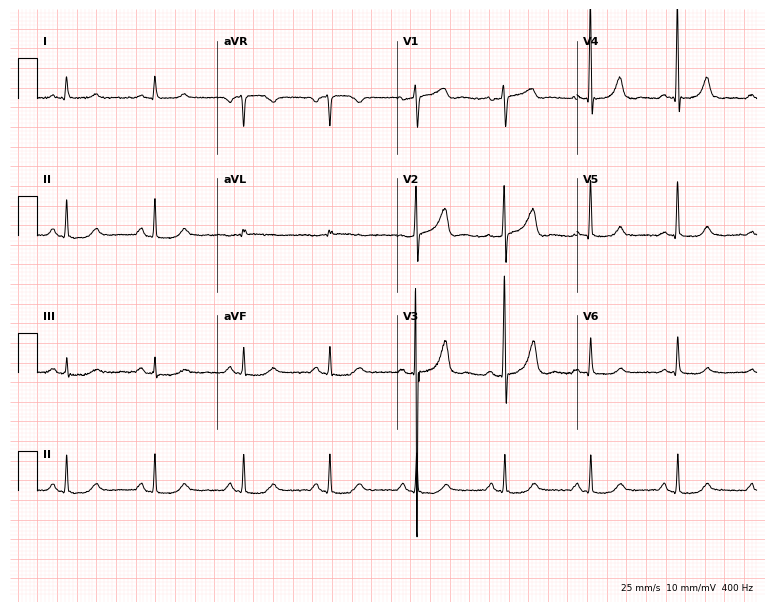
Resting 12-lead electrocardiogram. Patient: a female, 62 years old. Read as a normal ECG.